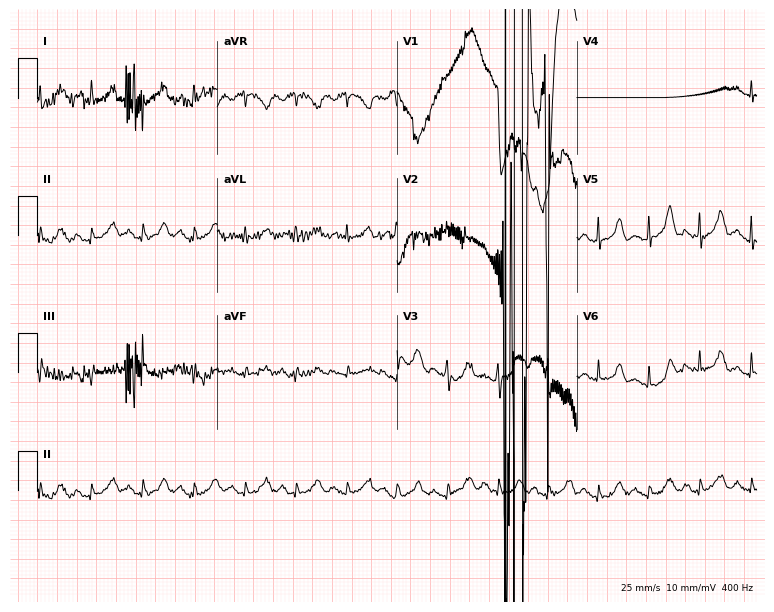
Electrocardiogram, a man, 33 years old. Of the six screened findings (first-degree AV block, right bundle branch block, left bundle branch block, sinus bradycardia, atrial fibrillation, sinus tachycardia), none is recorded. Other findings, if any, are not listed.